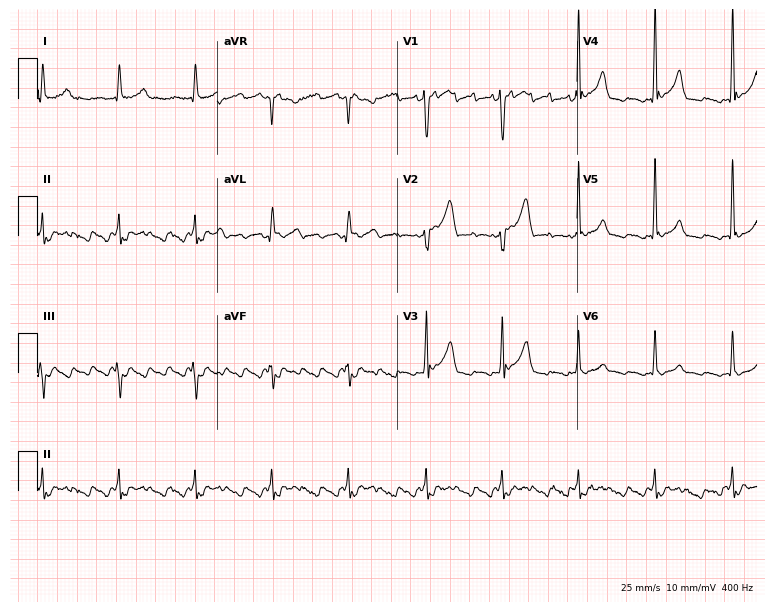
Standard 12-lead ECG recorded from a 74-year-old male (7.3-second recording at 400 Hz). None of these six findings is recorded: first-degree AV block, right bundle branch block, left bundle branch block, sinus bradycardia, atrial fibrillation, sinus tachycardia.